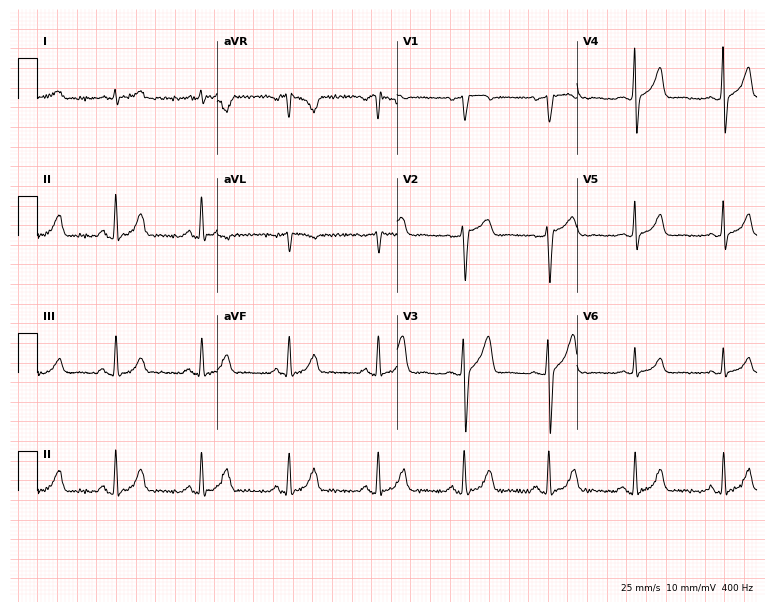
12-lead ECG from a male patient, 48 years old (7.3-second recording at 400 Hz). Recorded interpretation: within normal limits.